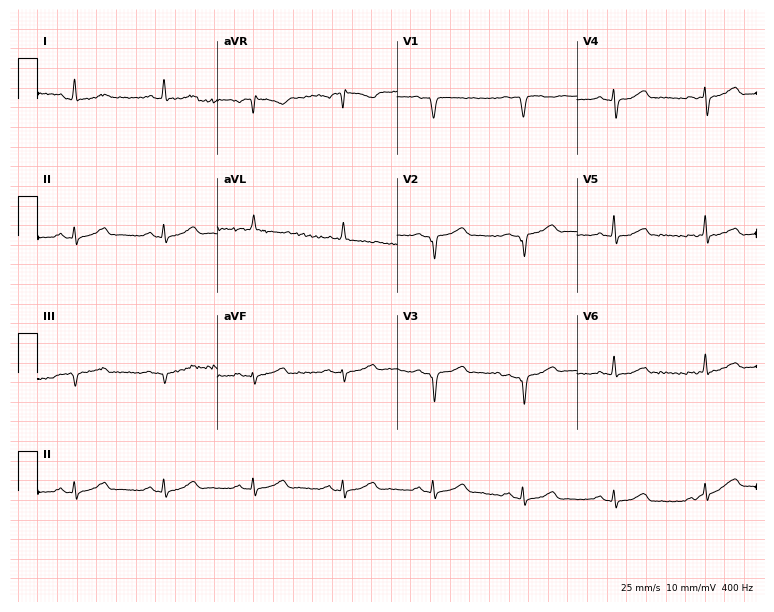
12-lead ECG (7.3-second recording at 400 Hz) from a male, 79 years old. Screened for six findings — first-degree AV block, right bundle branch block, left bundle branch block, sinus bradycardia, atrial fibrillation, sinus tachycardia — none is recorded. Only these six findings were labelled.